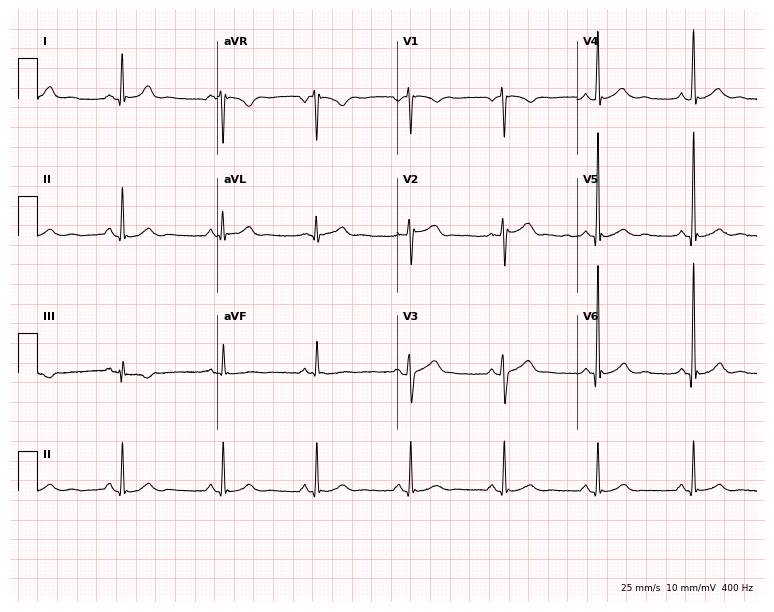
12-lead ECG from a male, 34 years old. Screened for six findings — first-degree AV block, right bundle branch block, left bundle branch block, sinus bradycardia, atrial fibrillation, sinus tachycardia — none is recorded. Other findings, if any, are not listed.